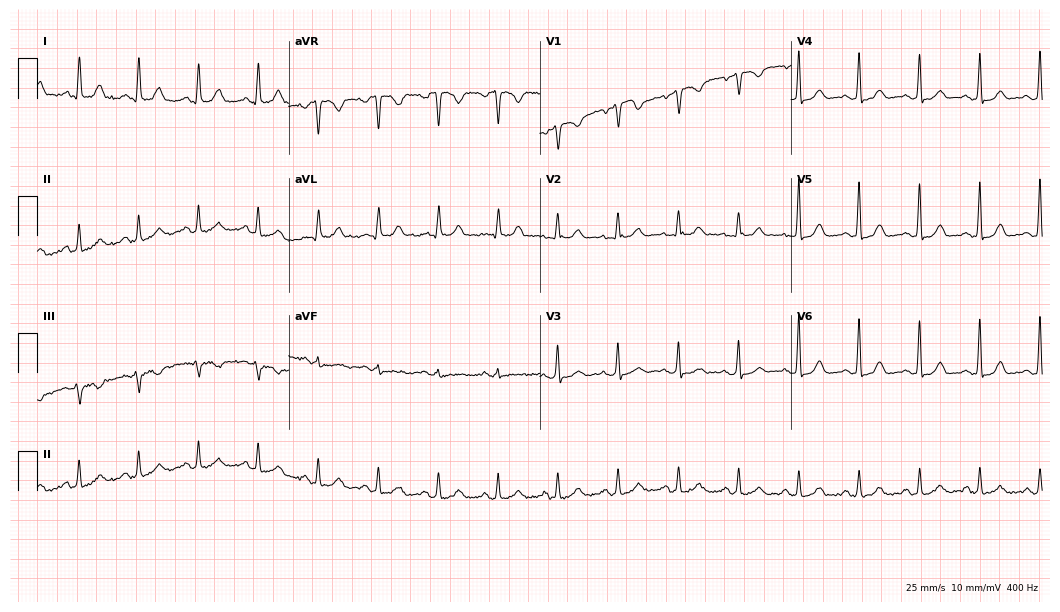
ECG (10.2-second recording at 400 Hz) — a woman, 48 years old. Labelled as a normal ECG.